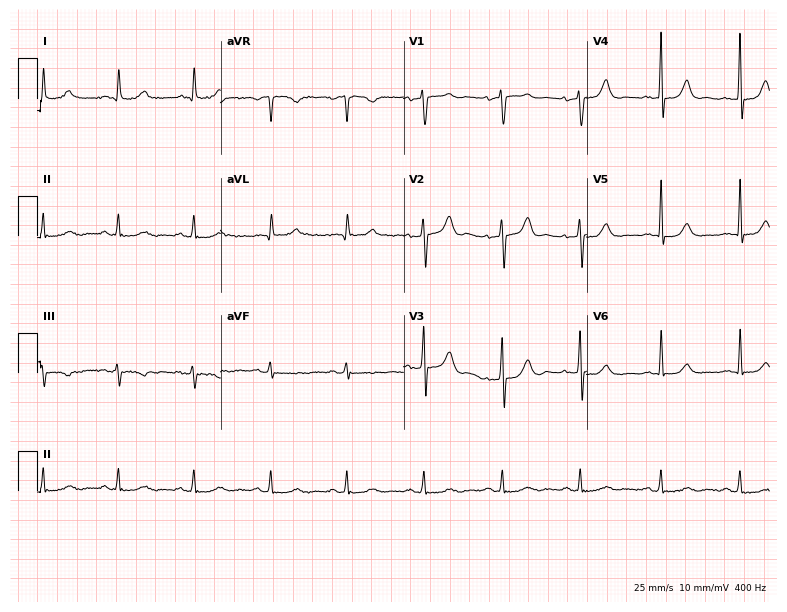
12-lead ECG from a female, 69 years old (7.5-second recording at 400 Hz). No first-degree AV block, right bundle branch block, left bundle branch block, sinus bradycardia, atrial fibrillation or sinus tachycardia recorded for this tracing. Other findings, if any, are not listed.